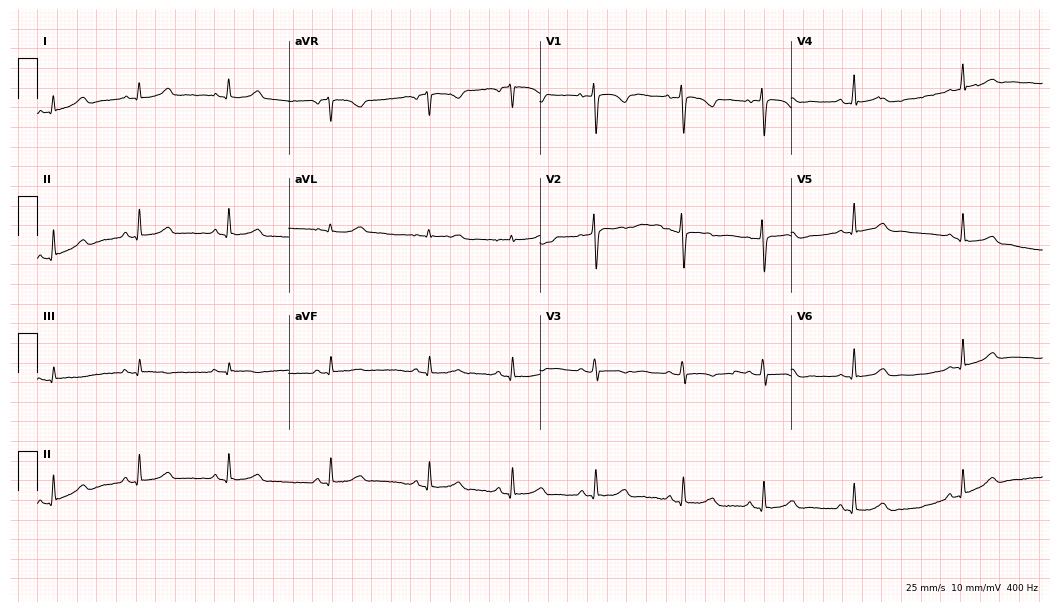
12-lead ECG from a 33-year-old female. No first-degree AV block, right bundle branch block (RBBB), left bundle branch block (LBBB), sinus bradycardia, atrial fibrillation (AF) or sinus tachycardia recorded for this tracing. Findings outside these six are not listed.